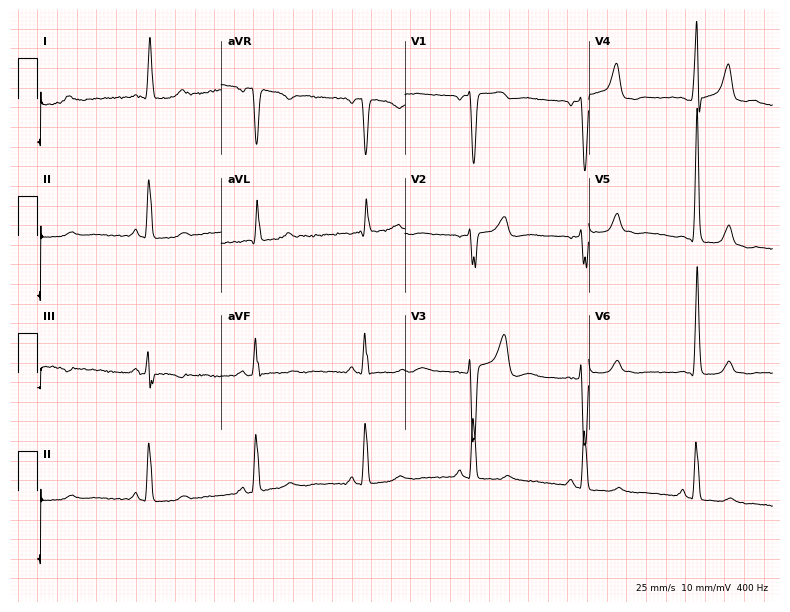
Electrocardiogram (7.5-second recording at 400 Hz), a female, 53 years old. Of the six screened findings (first-degree AV block, right bundle branch block (RBBB), left bundle branch block (LBBB), sinus bradycardia, atrial fibrillation (AF), sinus tachycardia), none is recorded. Other findings, if any, are not listed.